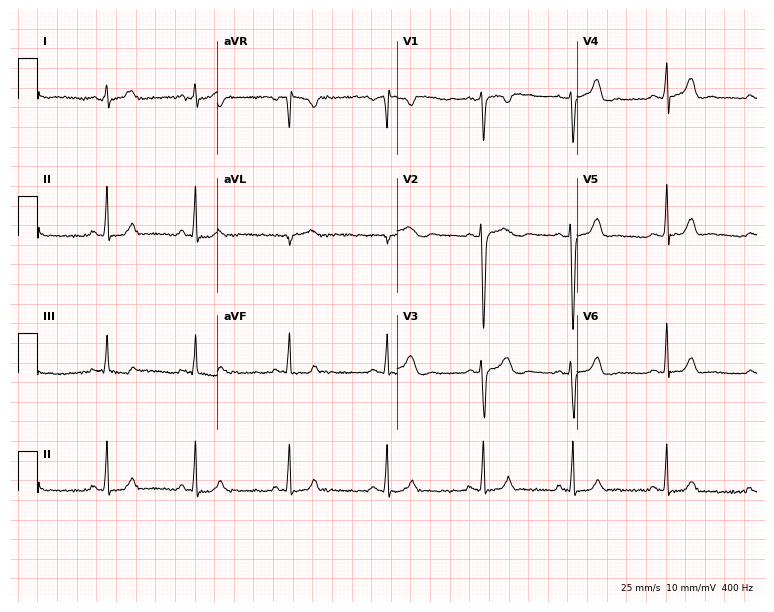
Electrocardiogram, a female patient, 31 years old. Of the six screened findings (first-degree AV block, right bundle branch block (RBBB), left bundle branch block (LBBB), sinus bradycardia, atrial fibrillation (AF), sinus tachycardia), none is recorded.